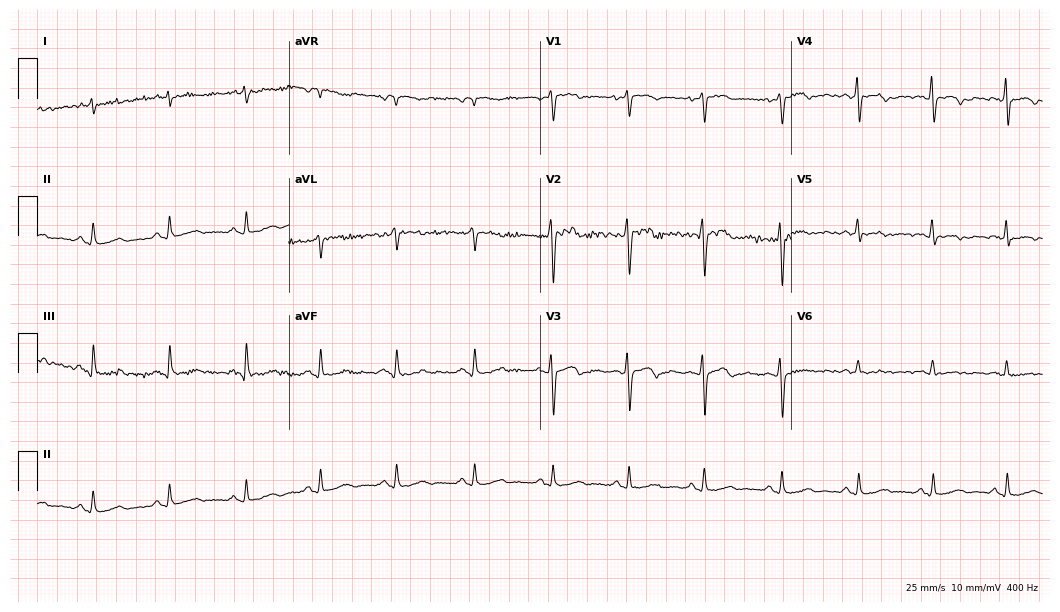
Resting 12-lead electrocardiogram. Patient: a female, 52 years old. None of these six findings is recorded: first-degree AV block, right bundle branch block, left bundle branch block, sinus bradycardia, atrial fibrillation, sinus tachycardia.